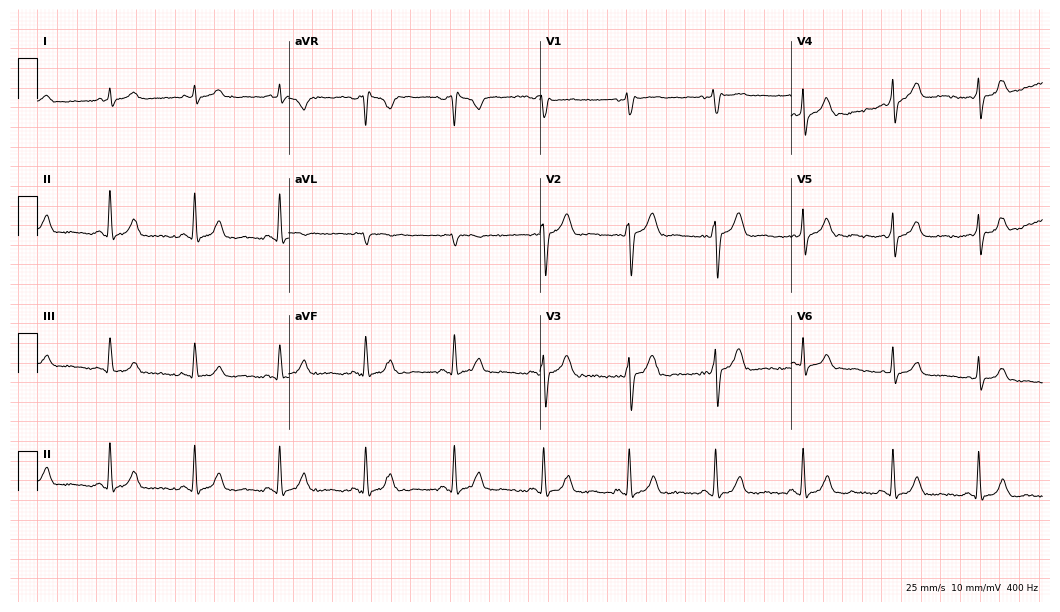
ECG (10.2-second recording at 400 Hz) — a 49-year-old man. Labelled as a normal ECG.